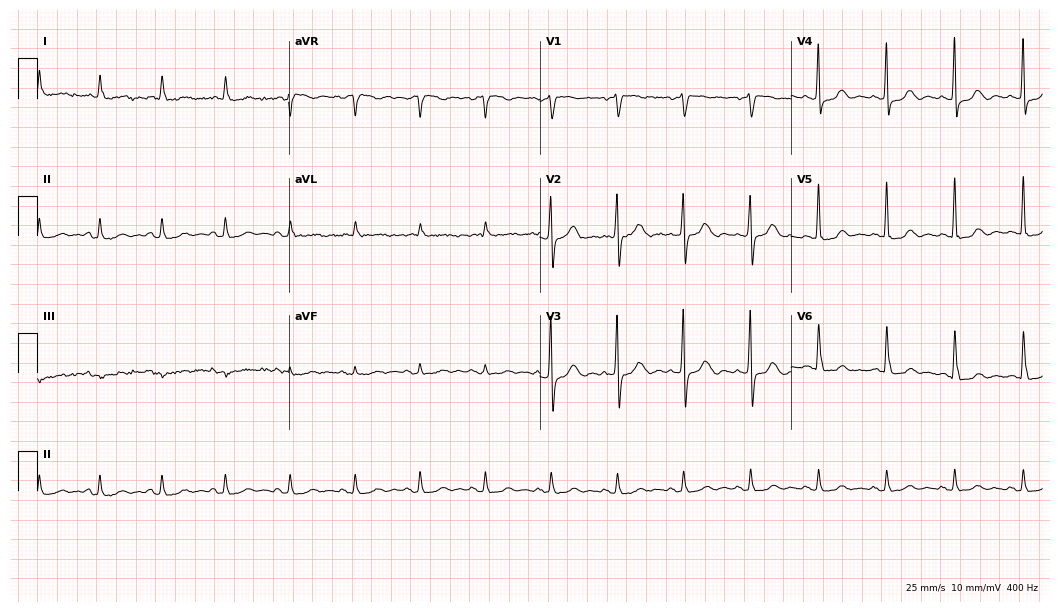
Resting 12-lead electrocardiogram. Patient: a 60-year-old female. None of these six findings is recorded: first-degree AV block, right bundle branch block, left bundle branch block, sinus bradycardia, atrial fibrillation, sinus tachycardia. Only these six findings were labelled.